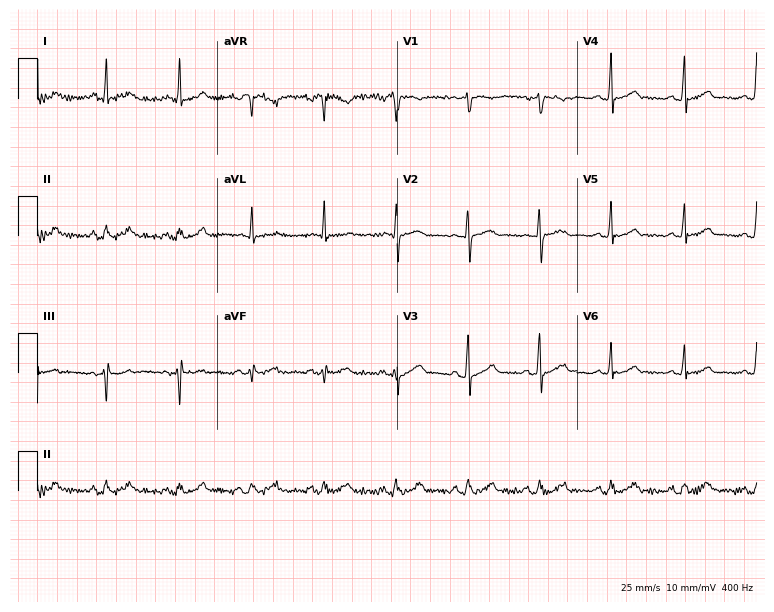
12-lead ECG from a female patient, 41 years old. No first-degree AV block, right bundle branch block, left bundle branch block, sinus bradycardia, atrial fibrillation or sinus tachycardia recorded for this tracing.